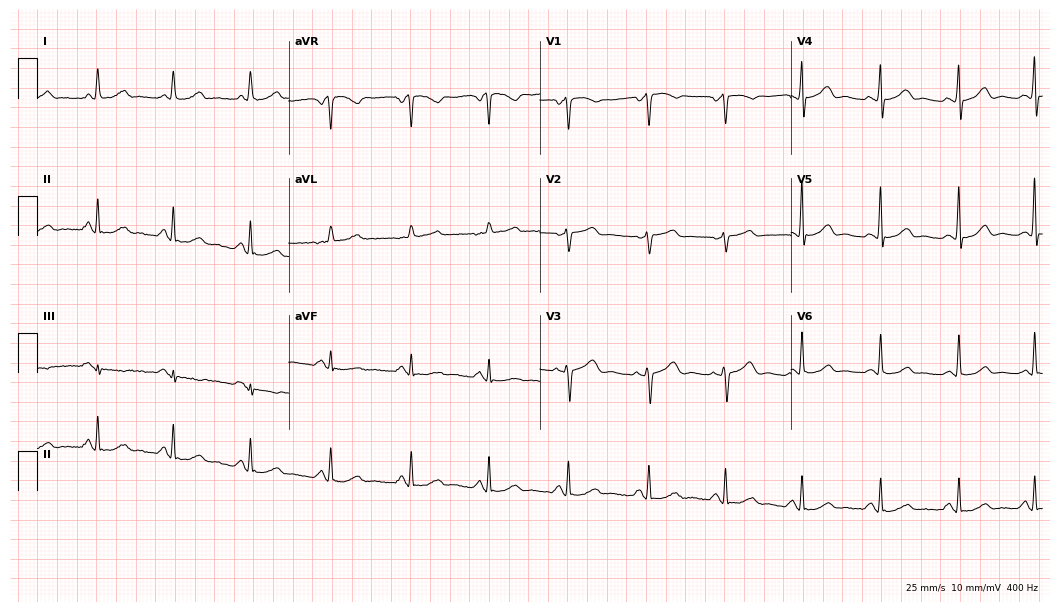
12-lead ECG from a 53-year-old woman. No first-degree AV block, right bundle branch block (RBBB), left bundle branch block (LBBB), sinus bradycardia, atrial fibrillation (AF) or sinus tachycardia recorded for this tracing. Other findings, if any, are not listed.